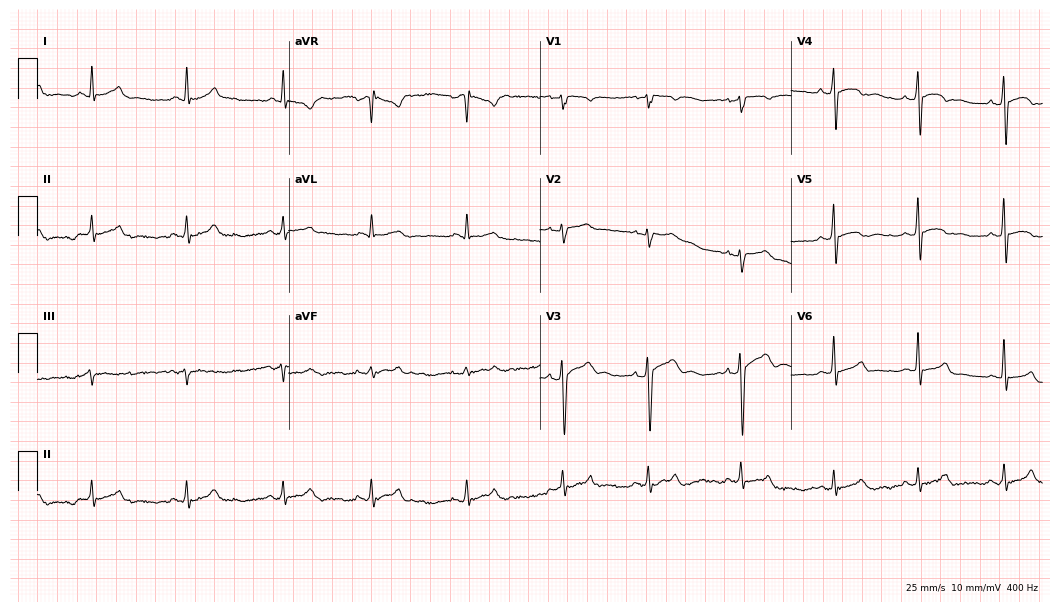
Resting 12-lead electrocardiogram. Patient: a 31-year-old male. None of these six findings is recorded: first-degree AV block, right bundle branch block, left bundle branch block, sinus bradycardia, atrial fibrillation, sinus tachycardia.